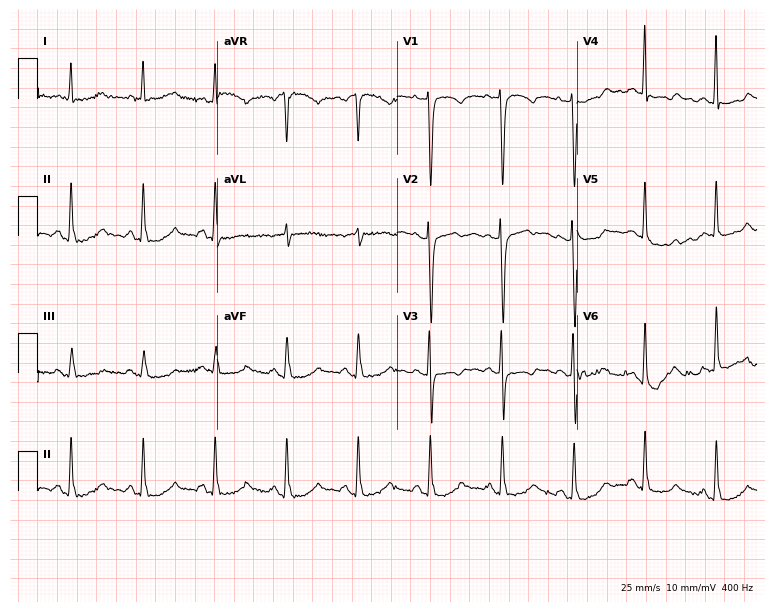
Electrocardiogram, a 45-year-old female patient. Overall reading on record: normal ECG.